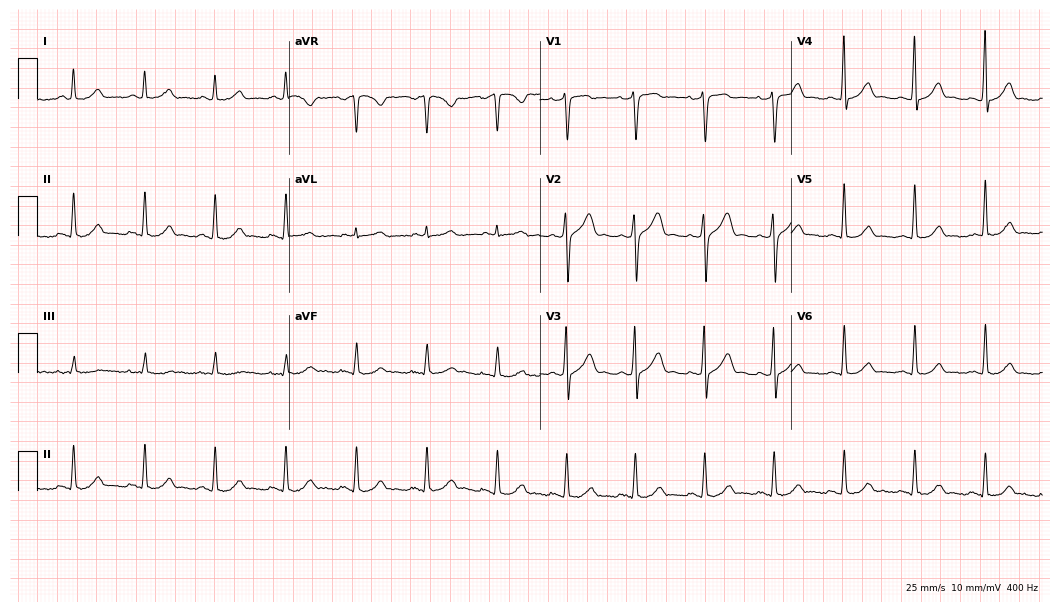
Resting 12-lead electrocardiogram. Patient: a 52-year-old man. Read as a normal ECG.